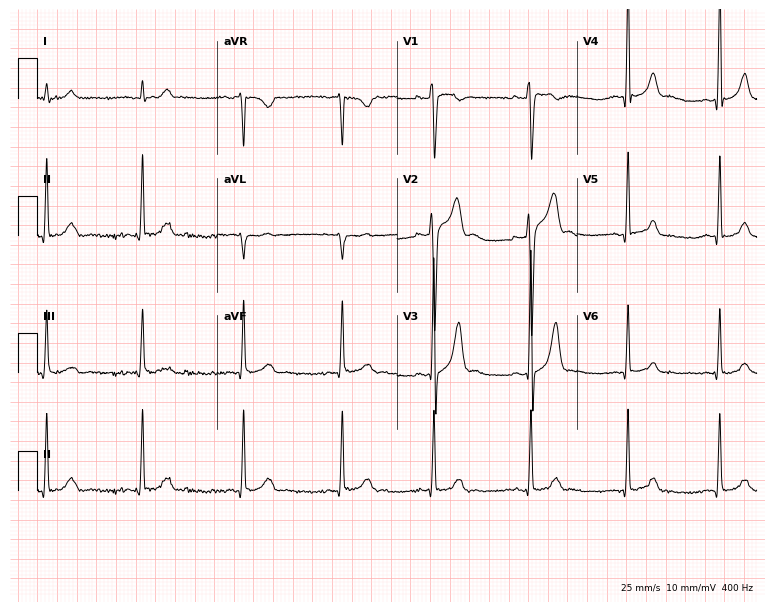
ECG (7.3-second recording at 400 Hz) — a male patient, 18 years old. Screened for six findings — first-degree AV block, right bundle branch block, left bundle branch block, sinus bradycardia, atrial fibrillation, sinus tachycardia — none is recorded.